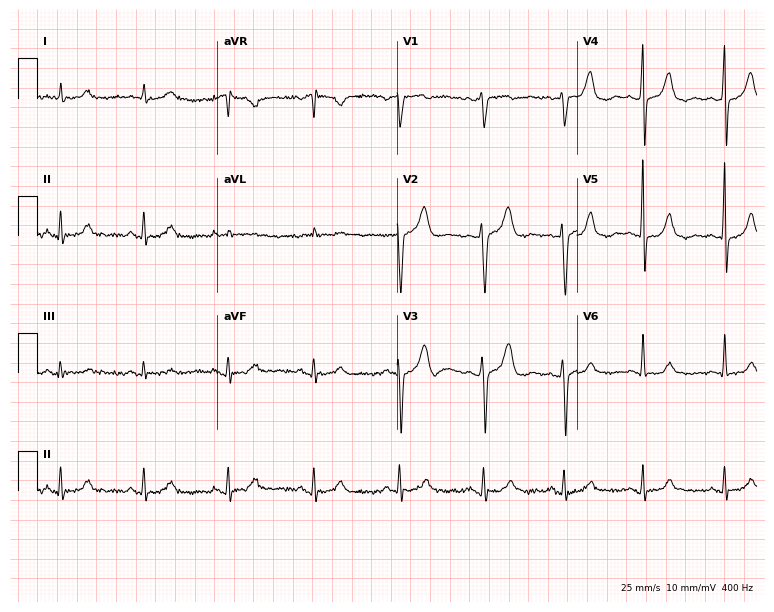
Standard 12-lead ECG recorded from a 57-year-old male patient (7.3-second recording at 400 Hz). None of these six findings is recorded: first-degree AV block, right bundle branch block (RBBB), left bundle branch block (LBBB), sinus bradycardia, atrial fibrillation (AF), sinus tachycardia.